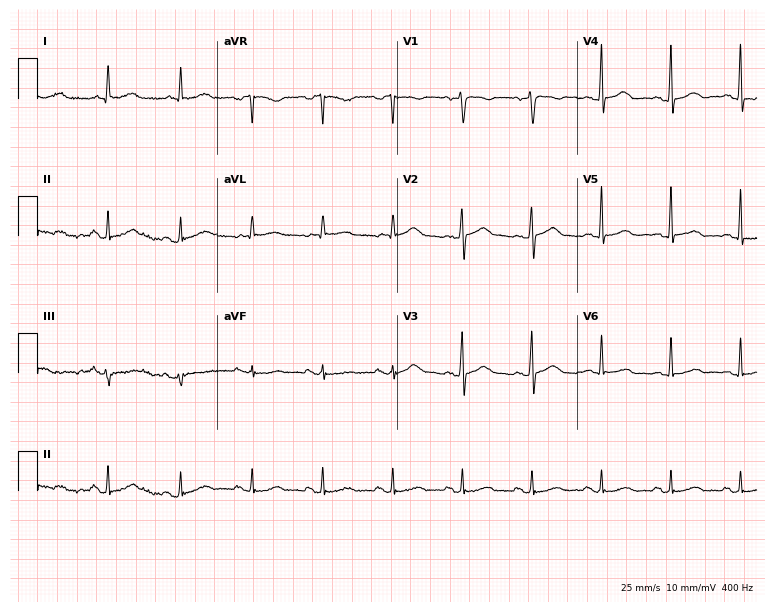
12-lead ECG from a 64-year-old male. Labelled as a normal ECG.